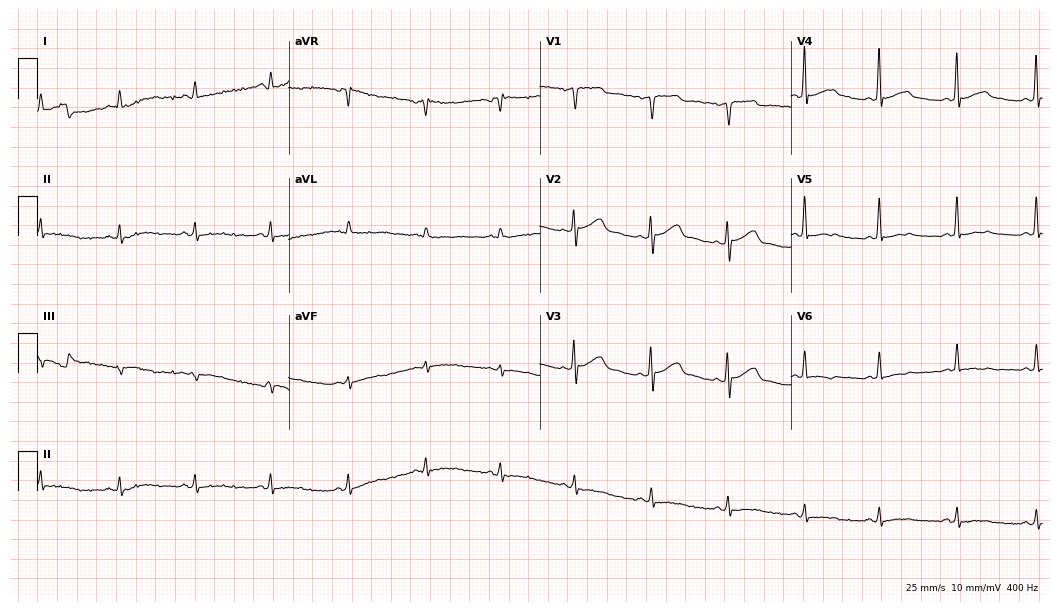
Resting 12-lead electrocardiogram (10.2-second recording at 400 Hz). Patient: a 57-year-old man. Read as a normal ECG.